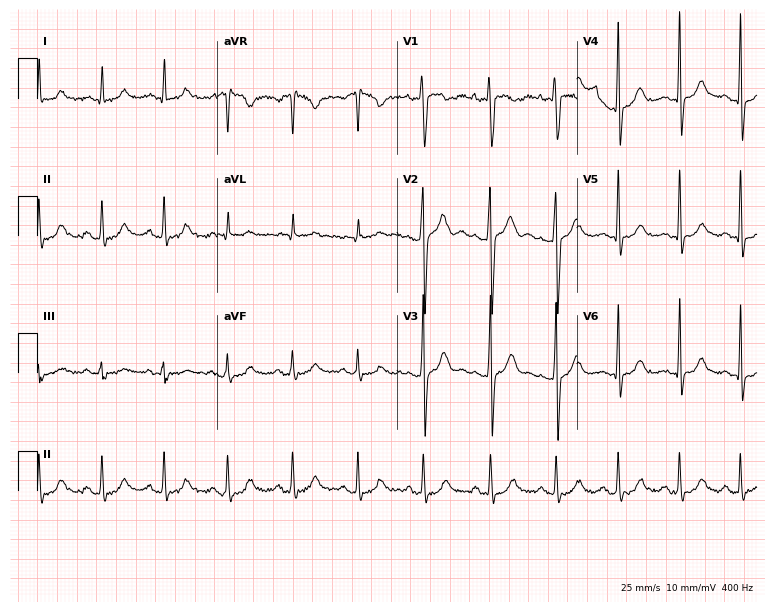
Electrocardiogram, a 29-year-old man. Of the six screened findings (first-degree AV block, right bundle branch block (RBBB), left bundle branch block (LBBB), sinus bradycardia, atrial fibrillation (AF), sinus tachycardia), none is recorded. Only these six findings were labelled.